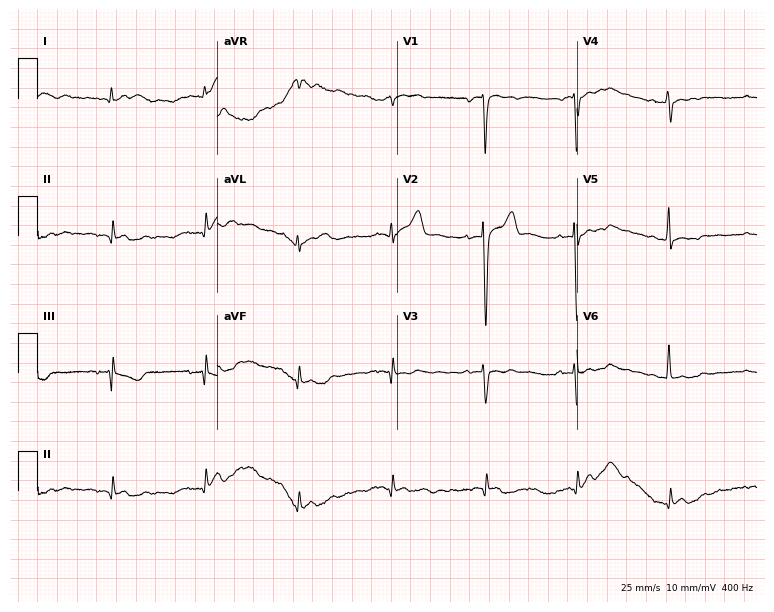
ECG (7.3-second recording at 400 Hz) — a male, 57 years old. Screened for six findings — first-degree AV block, right bundle branch block (RBBB), left bundle branch block (LBBB), sinus bradycardia, atrial fibrillation (AF), sinus tachycardia — none is recorded.